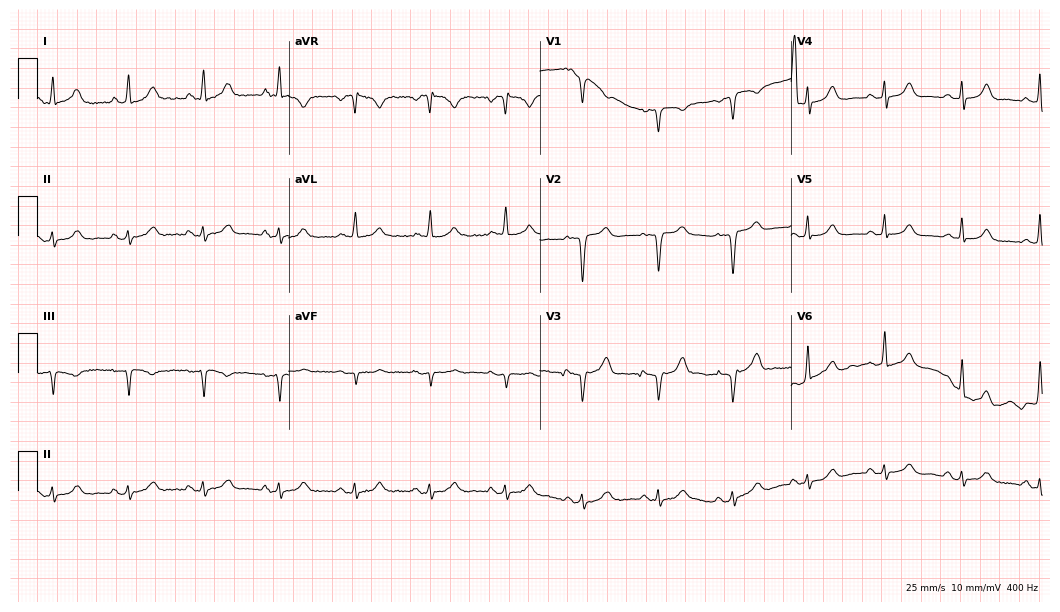
Standard 12-lead ECG recorded from a 46-year-old female. None of these six findings is recorded: first-degree AV block, right bundle branch block, left bundle branch block, sinus bradycardia, atrial fibrillation, sinus tachycardia. Other findings, if any, are not listed.